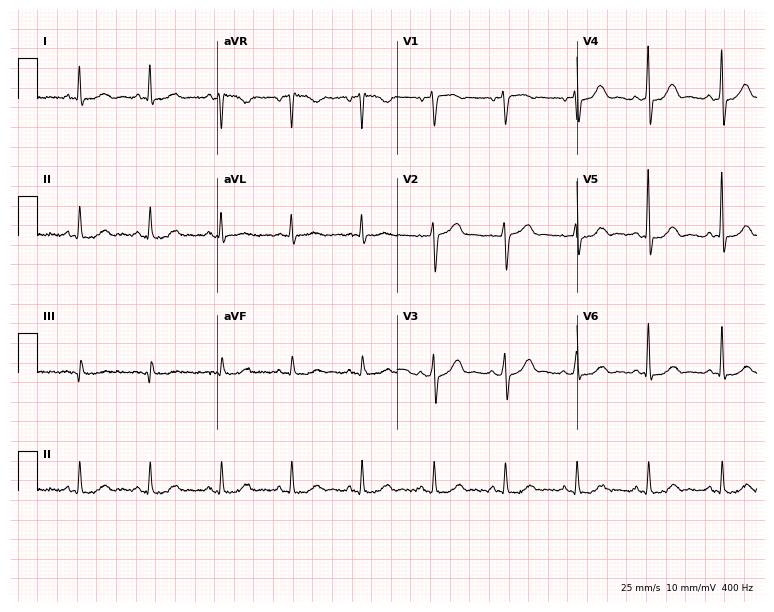
Standard 12-lead ECG recorded from a man, 71 years old. Read as a normal ECG.